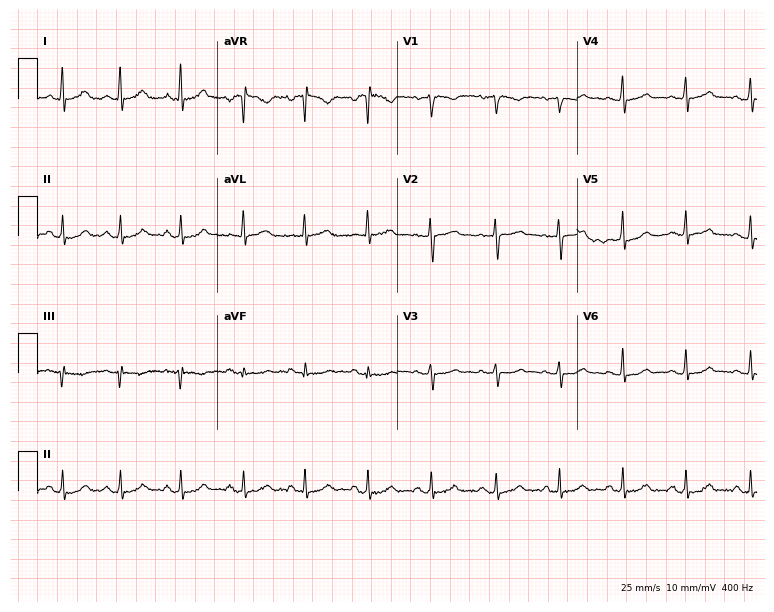
12-lead ECG from a female, 45 years old. Recorded interpretation: within normal limits.